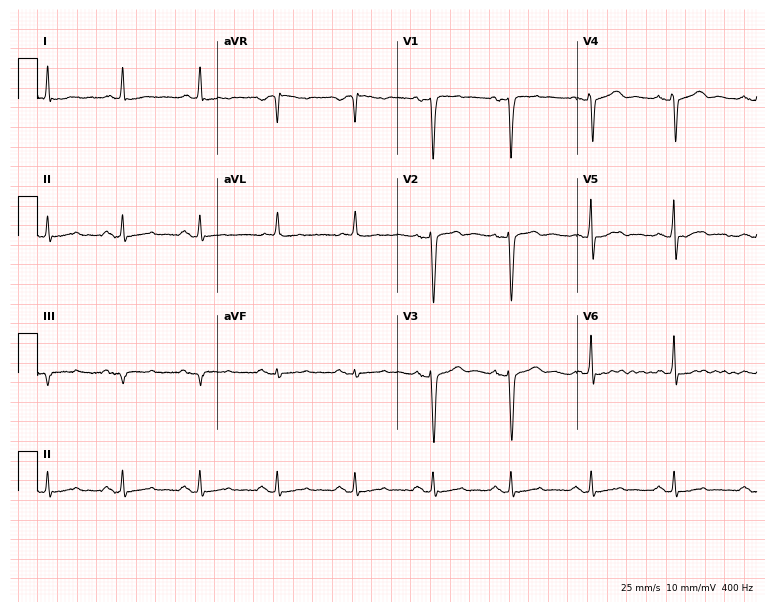
Resting 12-lead electrocardiogram (7.3-second recording at 400 Hz). Patient: a 65-year-old male. None of these six findings is recorded: first-degree AV block, right bundle branch block, left bundle branch block, sinus bradycardia, atrial fibrillation, sinus tachycardia. Other findings, if any, are not listed.